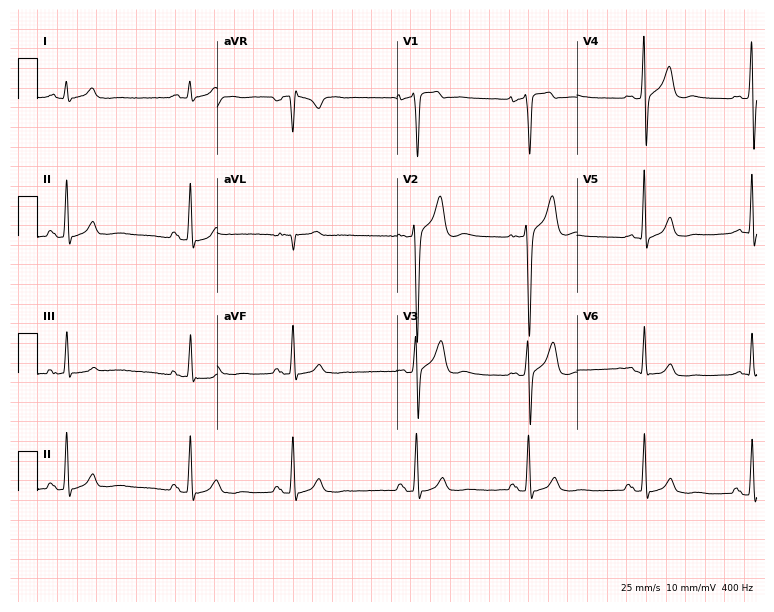
ECG (7.3-second recording at 400 Hz) — a man, 32 years old. Screened for six findings — first-degree AV block, right bundle branch block (RBBB), left bundle branch block (LBBB), sinus bradycardia, atrial fibrillation (AF), sinus tachycardia — none is recorded. Findings outside these six are not listed.